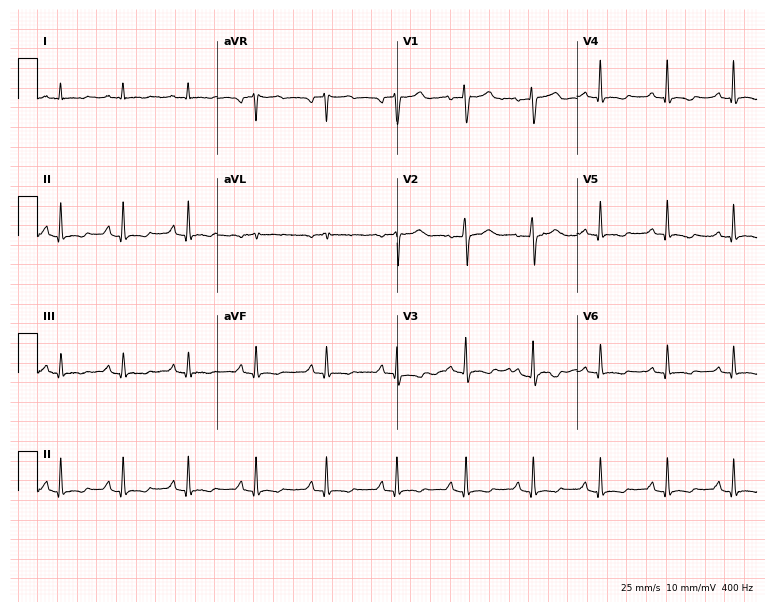
Standard 12-lead ECG recorded from a female patient, 51 years old (7.3-second recording at 400 Hz). None of these six findings is recorded: first-degree AV block, right bundle branch block, left bundle branch block, sinus bradycardia, atrial fibrillation, sinus tachycardia. Other findings, if any, are not listed.